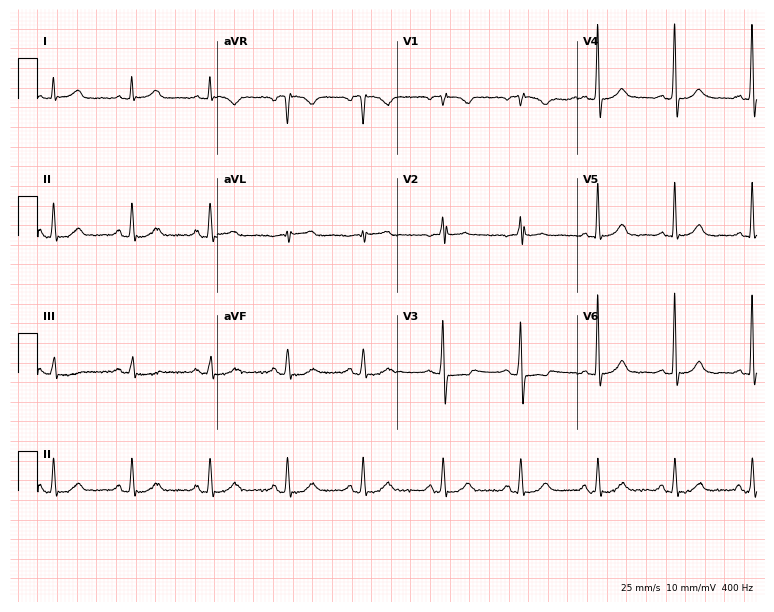
12-lead ECG from a 63-year-old woman. No first-degree AV block, right bundle branch block (RBBB), left bundle branch block (LBBB), sinus bradycardia, atrial fibrillation (AF) or sinus tachycardia recorded for this tracing. Other findings, if any, are not listed.